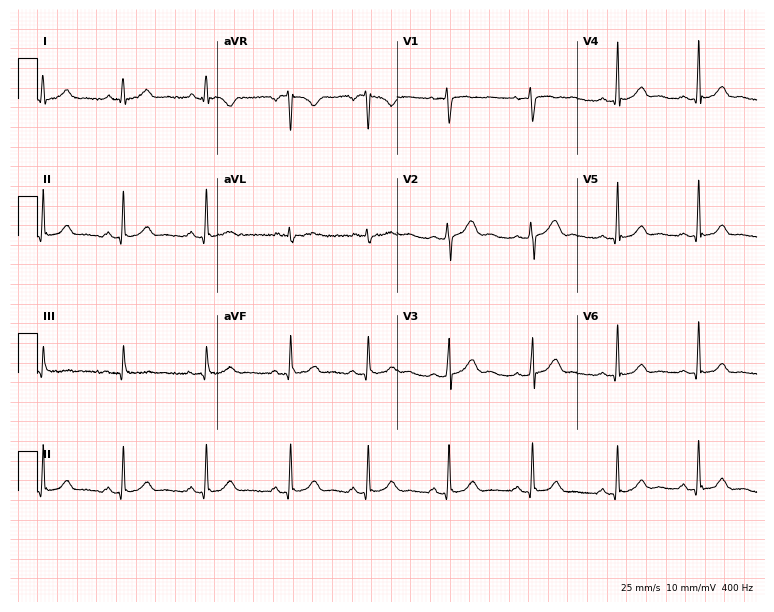
ECG (7.3-second recording at 400 Hz) — a 25-year-old female. Screened for six findings — first-degree AV block, right bundle branch block, left bundle branch block, sinus bradycardia, atrial fibrillation, sinus tachycardia — none is recorded. Other findings, if any, are not listed.